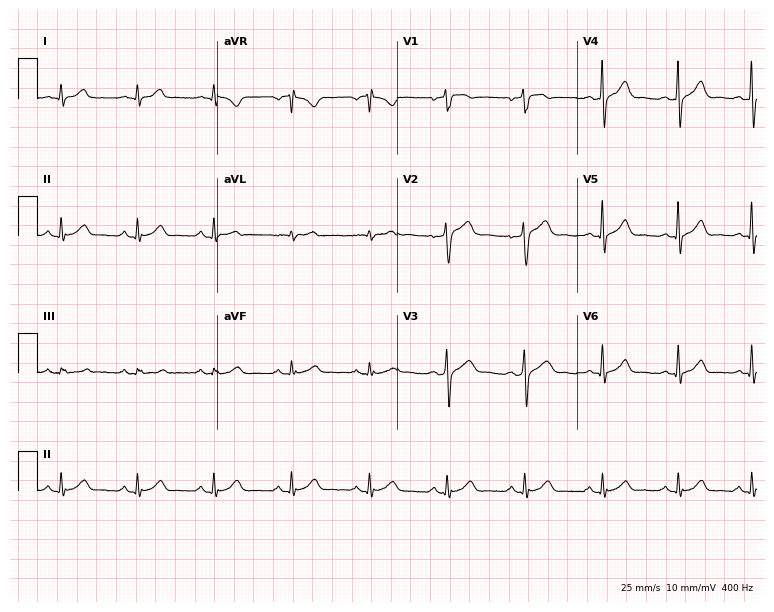
ECG — a 47-year-old male. Labelled as a normal ECG.